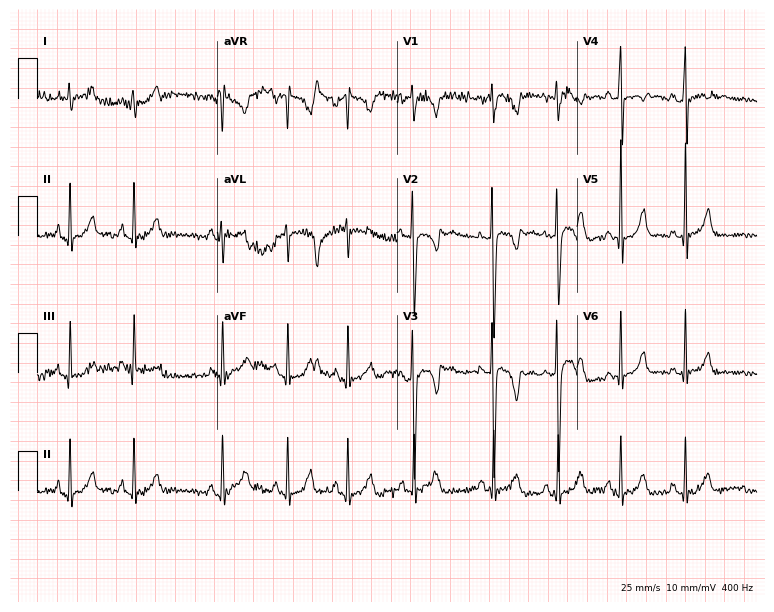
12-lead ECG from a man, 19 years old (7.3-second recording at 400 Hz). No first-degree AV block, right bundle branch block (RBBB), left bundle branch block (LBBB), sinus bradycardia, atrial fibrillation (AF) or sinus tachycardia recorded for this tracing. Only these six findings were labelled.